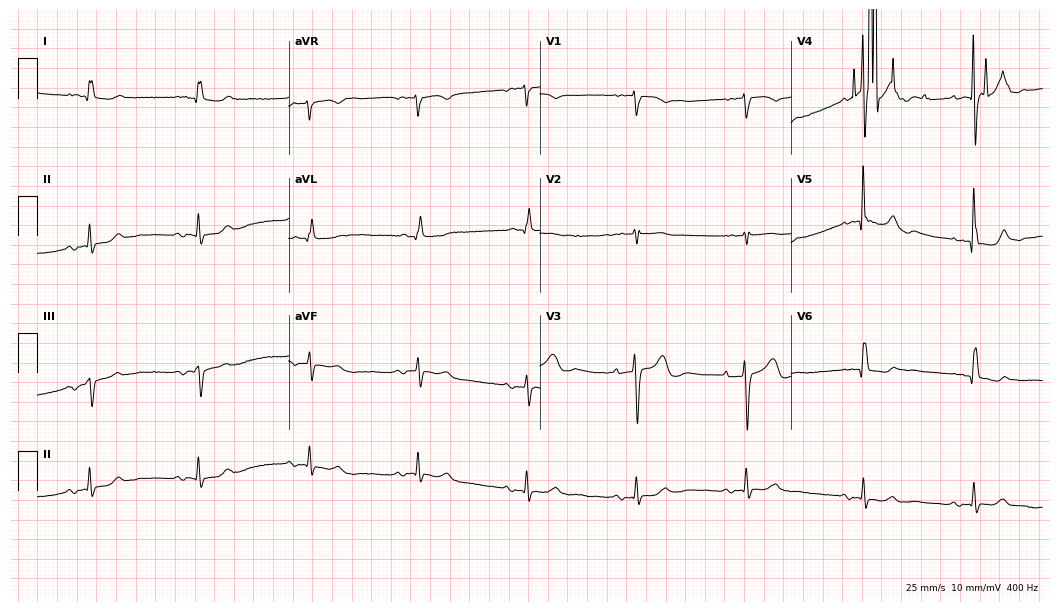
Resting 12-lead electrocardiogram (10.2-second recording at 400 Hz). Patient: a 76-year-old female. None of these six findings is recorded: first-degree AV block, right bundle branch block, left bundle branch block, sinus bradycardia, atrial fibrillation, sinus tachycardia. Only these six findings were labelled.